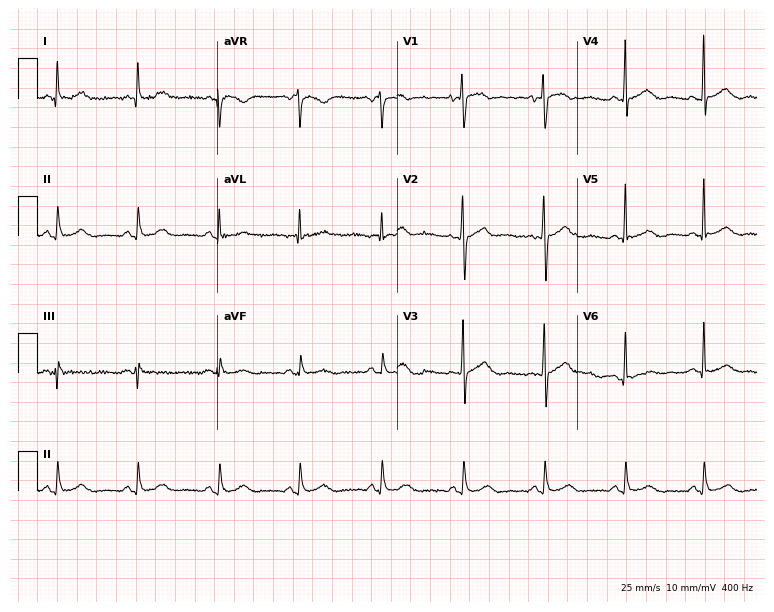
Resting 12-lead electrocardiogram (7.3-second recording at 400 Hz). Patient: a woman, 56 years old. None of these six findings is recorded: first-degree AV block, right bundle branch block, left bundle branch block, sinus bradycardia, atrial fibrillation, sinus tachycardia.